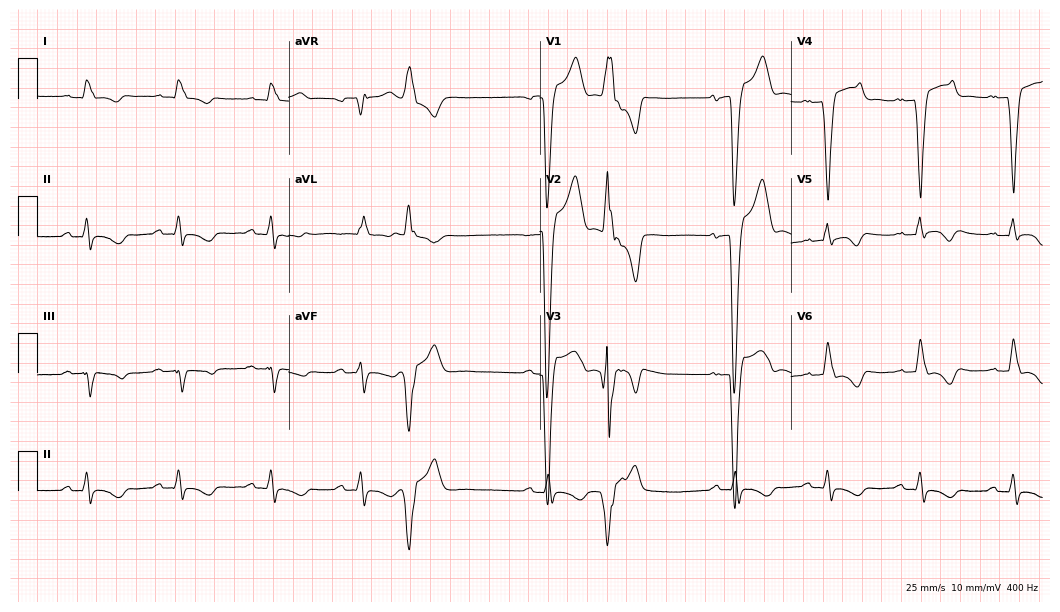
Standard 12-lead ECG recorded from a 51-year-old male patient. The tracing shows left bundle branch block (LBBB).